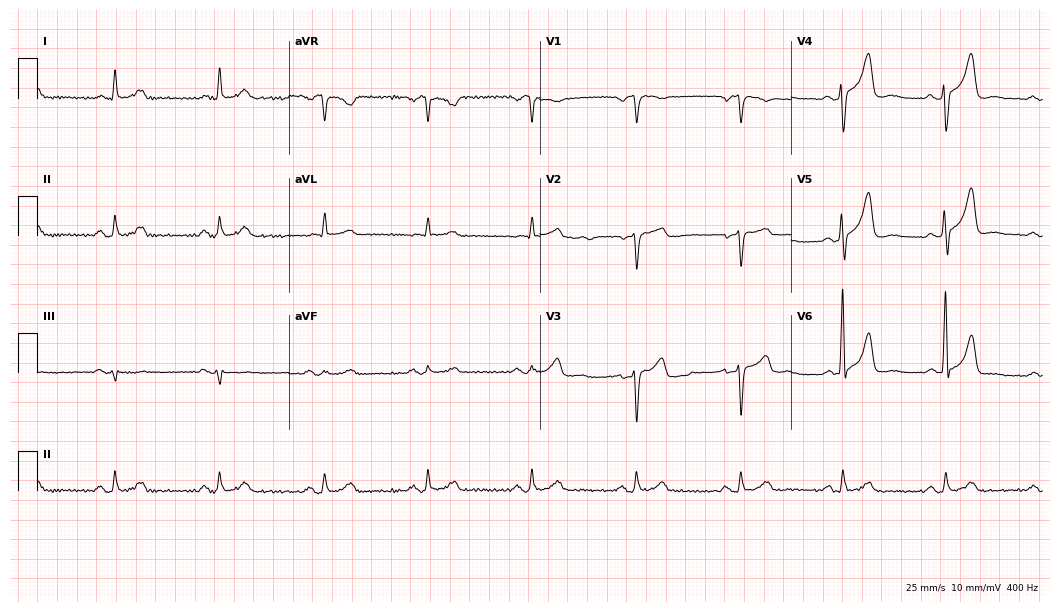
12-lead ECG from a man, 70 years old. Recorded interpretation: within normal limits.